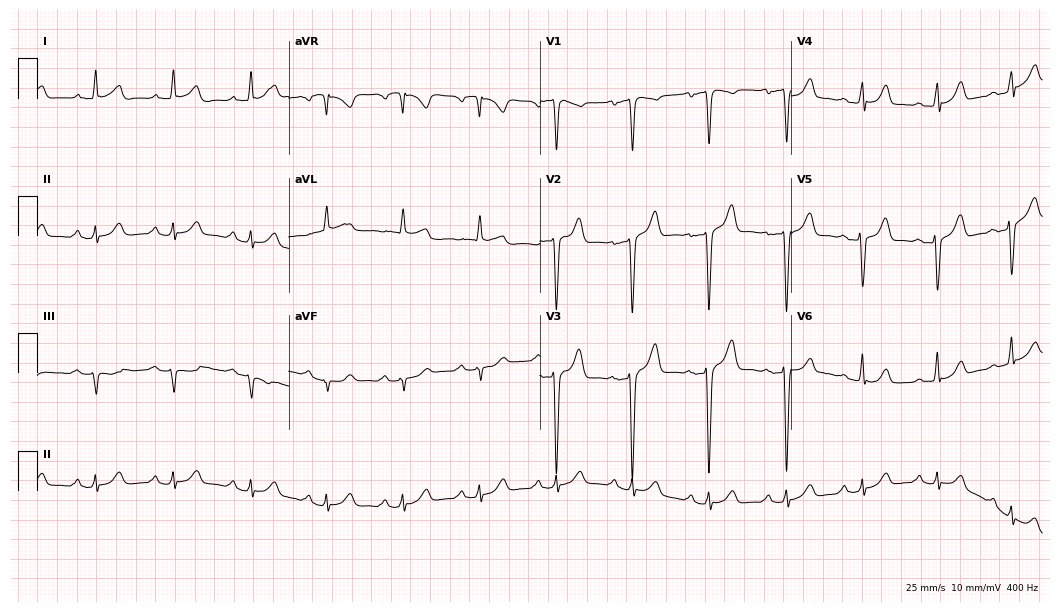
Electrocardiogram (10.2-second recording at 400 Hz), a 56-year-old male patient. Overall reading on record: normal ECG.